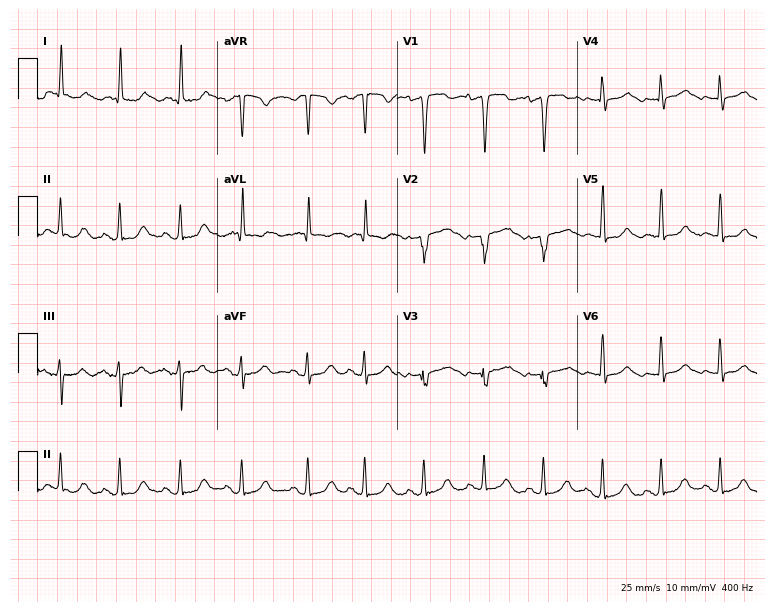
12-lead ECG (7.3-second recording at 400 Hz) from a female, 70 years old. Screened for six findings — first-degree AV block, right bundle branch block, left bundle branch block, sinus bradycardia, atrial fibrillation, sinus tachycardia — none is recorded. Other findings, if any, are not listed.